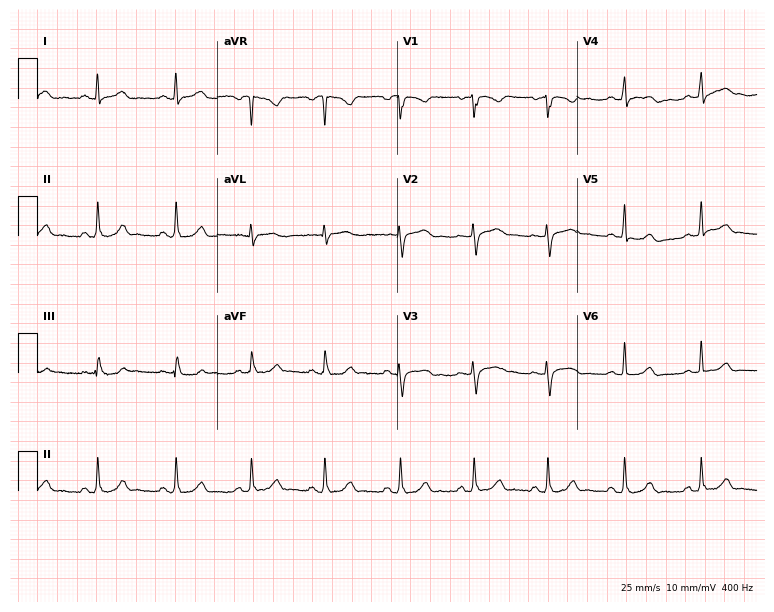
ECG (7.3-second recording at 400 Hz) — a female patient, 19 years old. Labelled as a normal ECG.